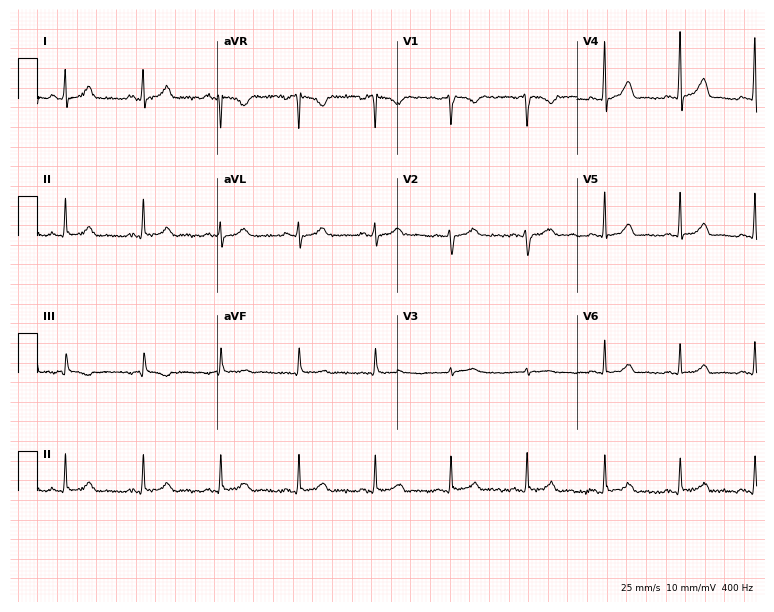
12-lead ECG from a woman, 31 years old. Labelled as a normal ECG.